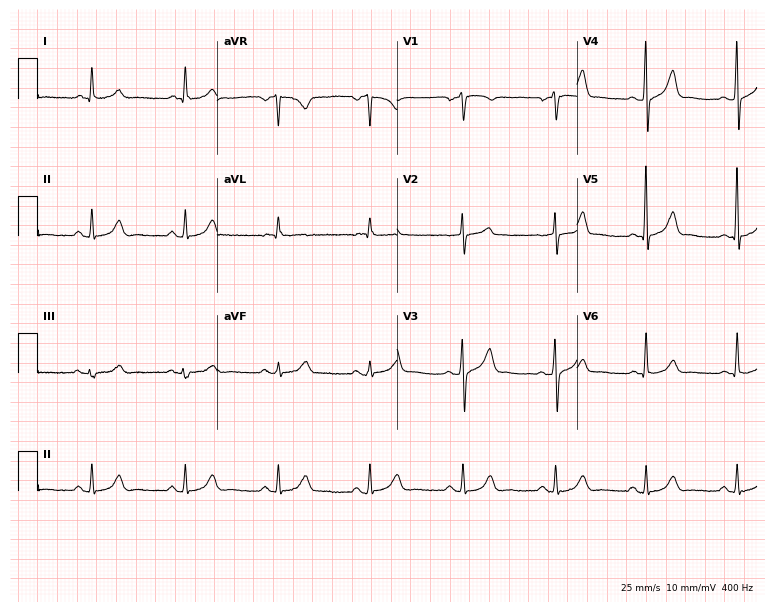
12-lead ECG from a 62-year-old man. Labelled as a normal ECG.